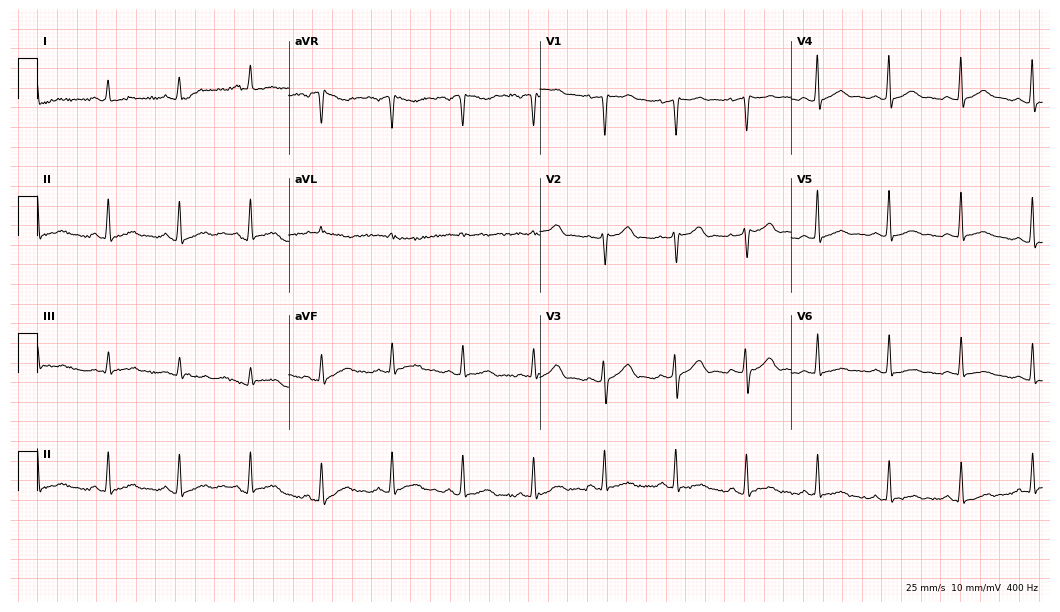
Electrocardiogram, a 56-year-old female patient. Overall reading on record: normal ECG.